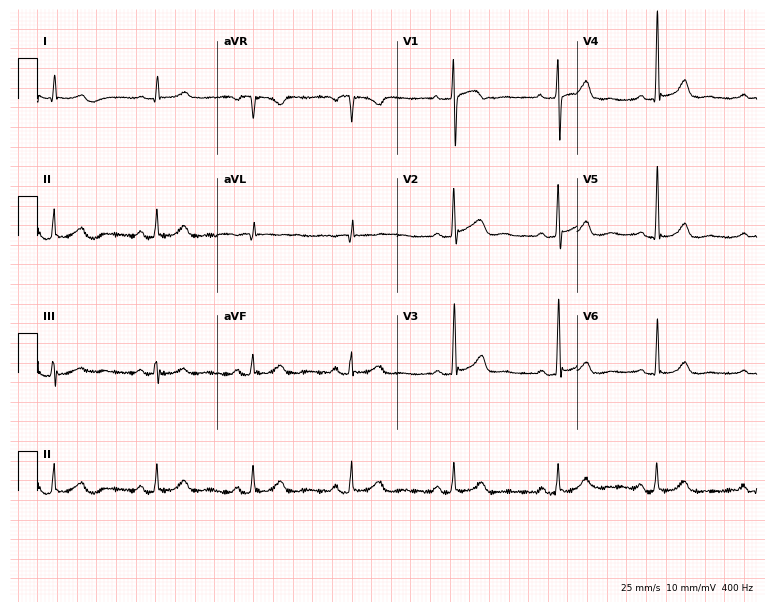
Resting 12-lead electrocardiogram (7.3-second recording at 400 Hz). Patient: a 58-year-old female. None of these six findings is recorded: first-degree AV block, right bundle branch block (RBBB), left bundle branch block (LBBB), sinus bradycardia, atrial fibrillation (AF), sinus tachycardia.